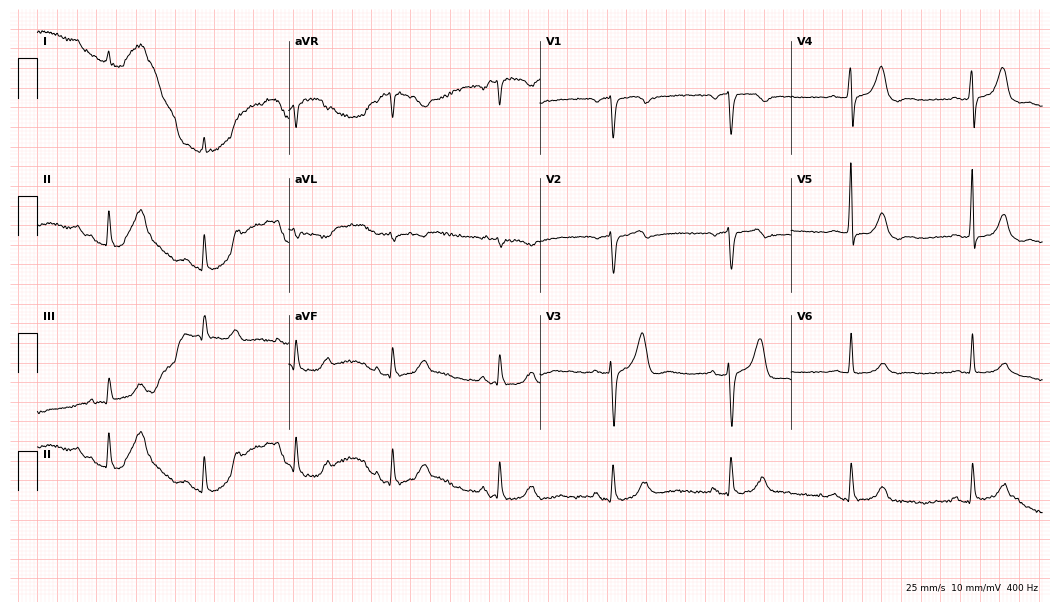
Standard 12-lead ECG recorded from an 84-year-old man (10.2-second recording at 400 Hz). None of these six findings is recorded: first-degree AV block, right bundle branch block, left bundle branch block, sinus bradycardia, atrial fibrillation, sinus tachycardia.